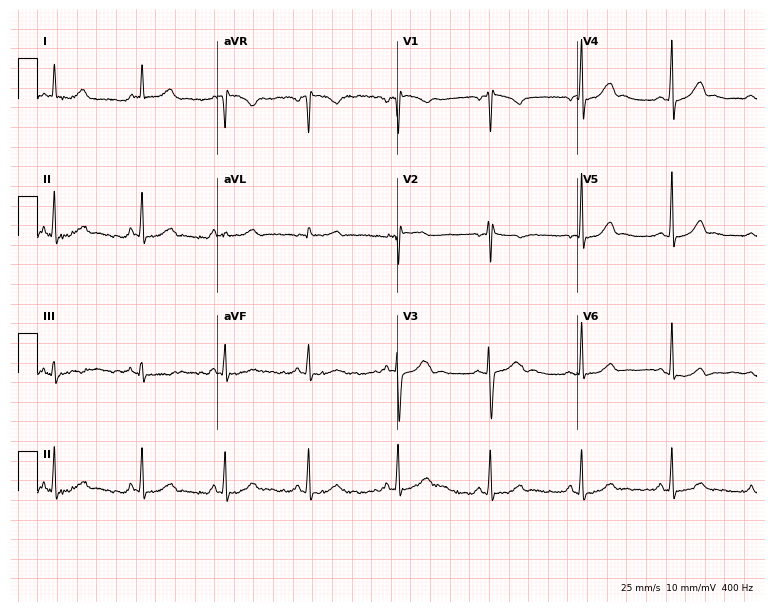
Resting 12-lead electrocardiogram (7.3-second recording at 400 Hz). Patient: a female, 30 years old. Read as a normal ECG.